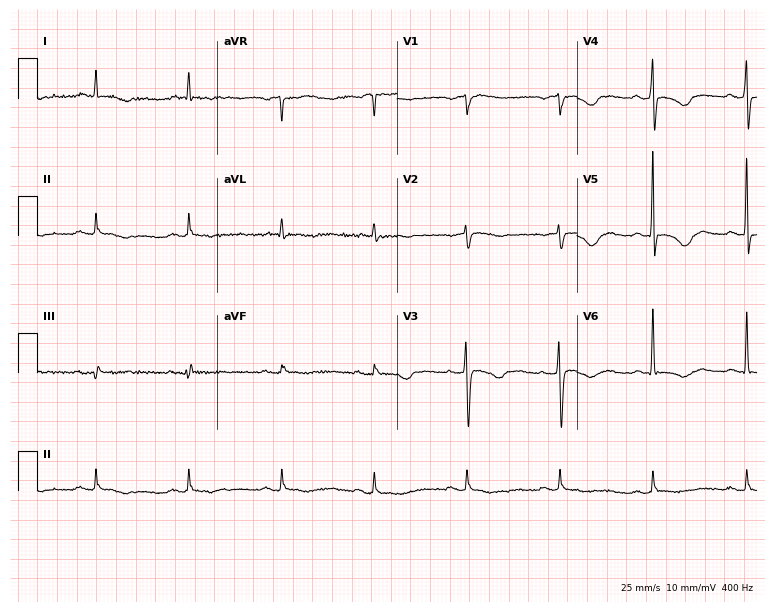
Standard 12-lead ECG recorded from a 73-year-old female patient (7.3-second recording at 400 Hz). None of these six findings is recorded: first-degree AV block, right bundle branch block (RBBB), left bundle branch block (LBBB), sinus bradycardia, atrial fibrillation (AF), sinus tachycardia. Other findings, if any, are not listed.